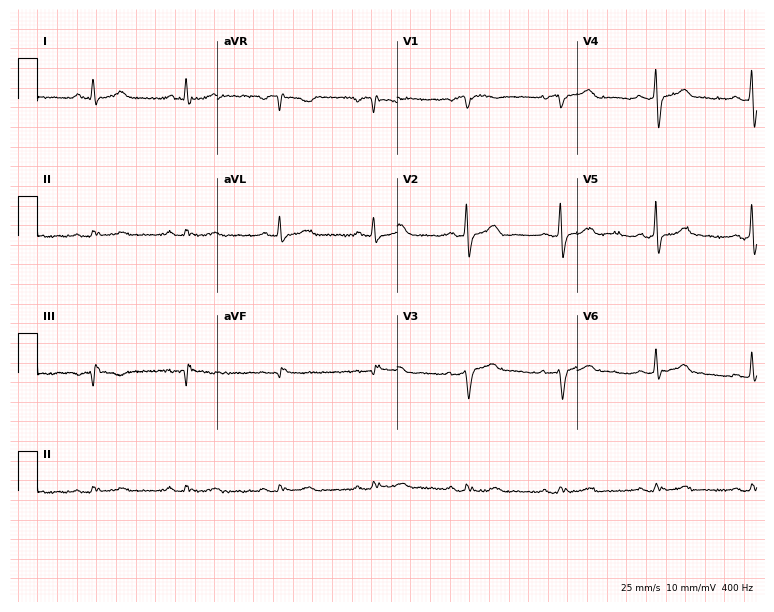
12-lead ECG (7.3-second recording at 400 Hz) from a 69-year-old male patient. Screened for six findings — first-degree AV block, right bundle branch block (RBBB), left bundle branch block (LBBB), sinus bradycardia, atrial fibrillation (AF), sinus tachycardia — none is recorded.